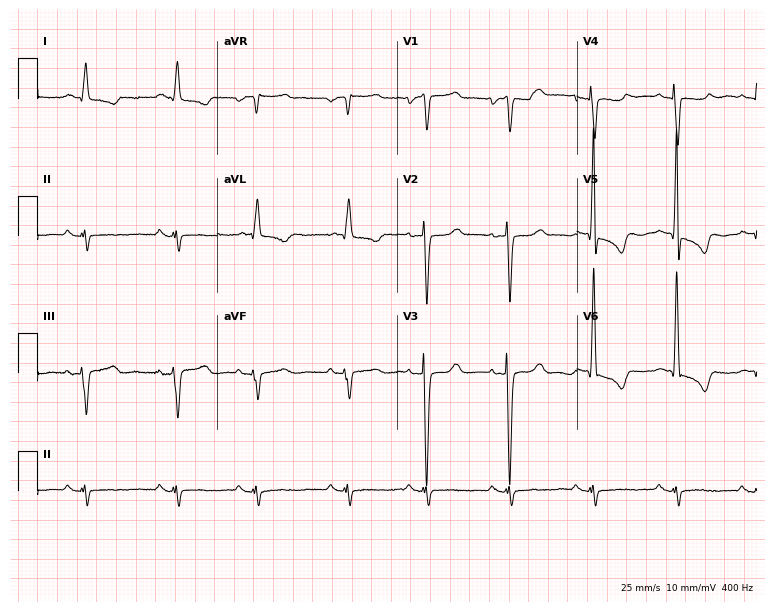
12-lead ECG (7.3-second recording at 400 Hz) from a 68-year-old male patient. Screened for six findings — first-degree AV block, right bundle branch block, left bundle branch block, sinus bradycardia, atrial fibrillation, sinus tachycardia — none is recorded. Findings outside these six are not listed.